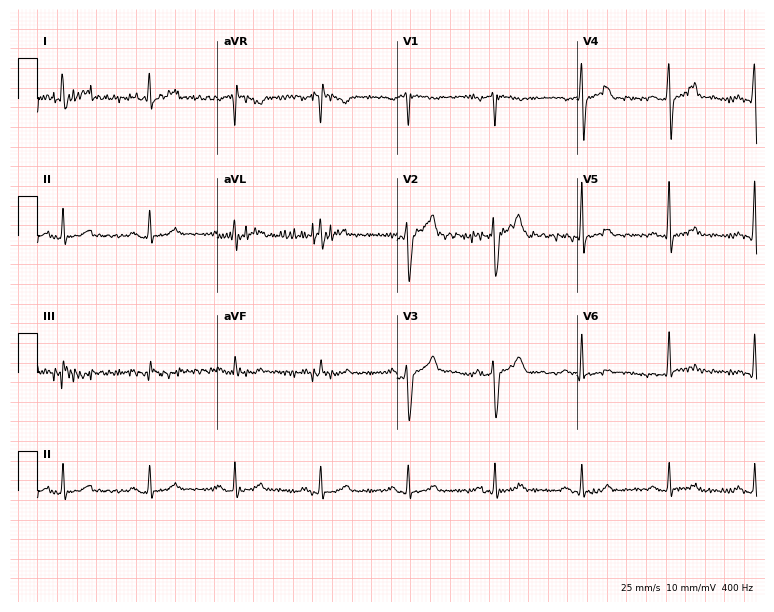
Standard 12-lead ECG recorded from a 46-year-old male patient (7.3-second recording at 400 Hz). None of these six findings is recorded: first-degree AV block, right bundle branch block (RBBB), left bundle branch block (LBBB), sinus bradycardia, atrial fibrillation (AF), sinus tachycardia.